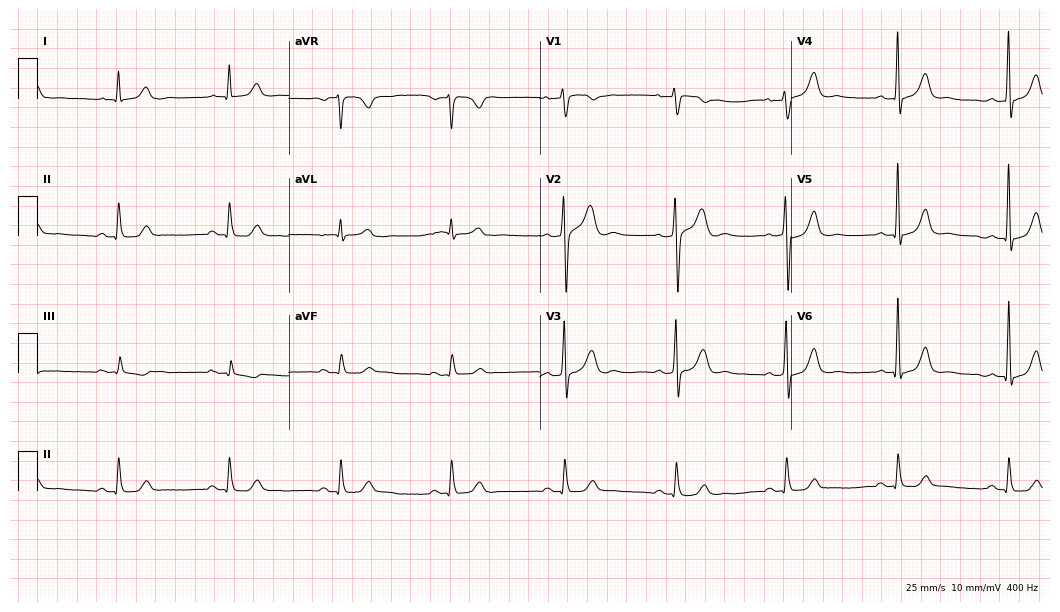
ECG (10.2-second recording at 400 Hz) — a 68-year-old male patient. Labelled as a normal ECG.